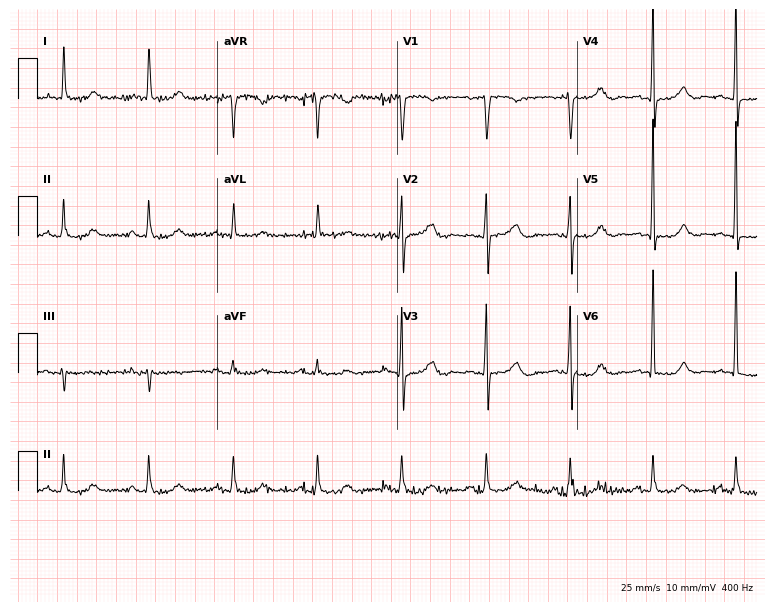
12-lead ECG from a 73-year-old woman. Recorded interpretation: within normal limits.